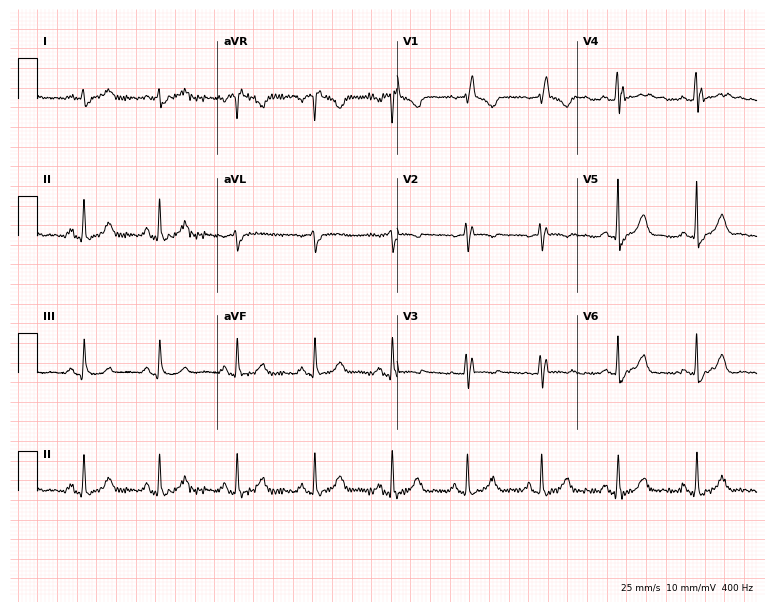
12-lead ECG (7.3-second recording at 400 Hz) from a female patient, 43 years old. Findings include right bundle branch block.